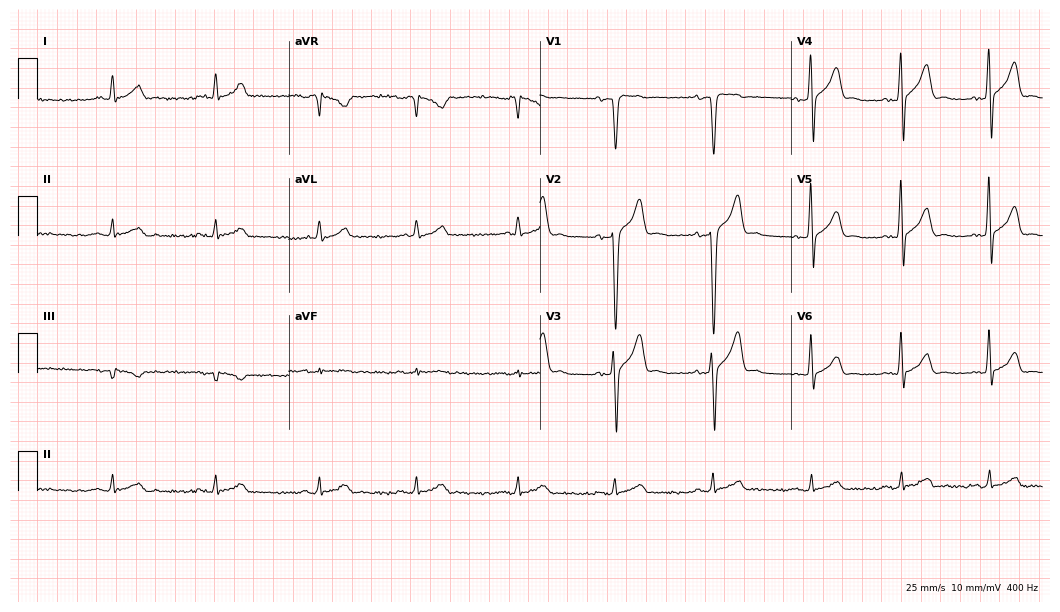
ECG — a male patient, 44 years old. Labelled as a normal ECG.